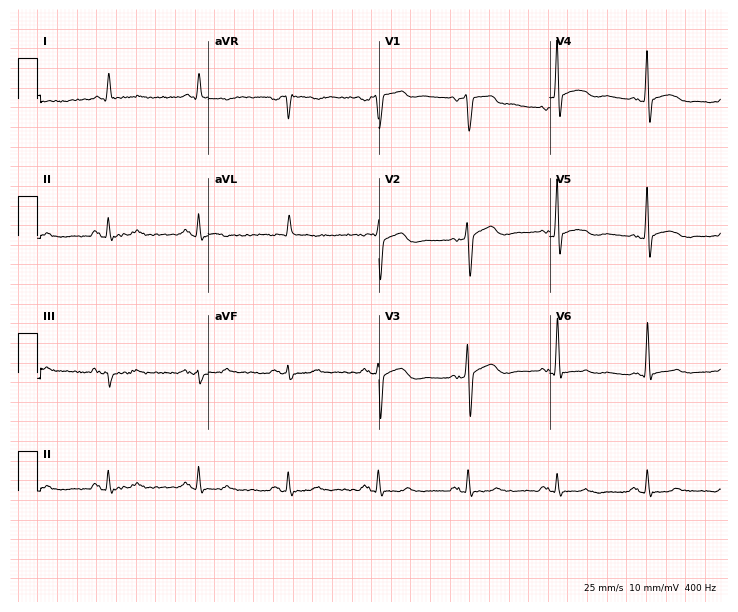
12-lead ECG from an 82-year-old male. Screened for six findings — first-degree AV block, right bundle branch block (RBBB), left bundle branch block (LBBB), sinus bradycardia, atrial fibrillation (AF), sinus tachycardia — none is recorded. Other findings, if any, are not listed.